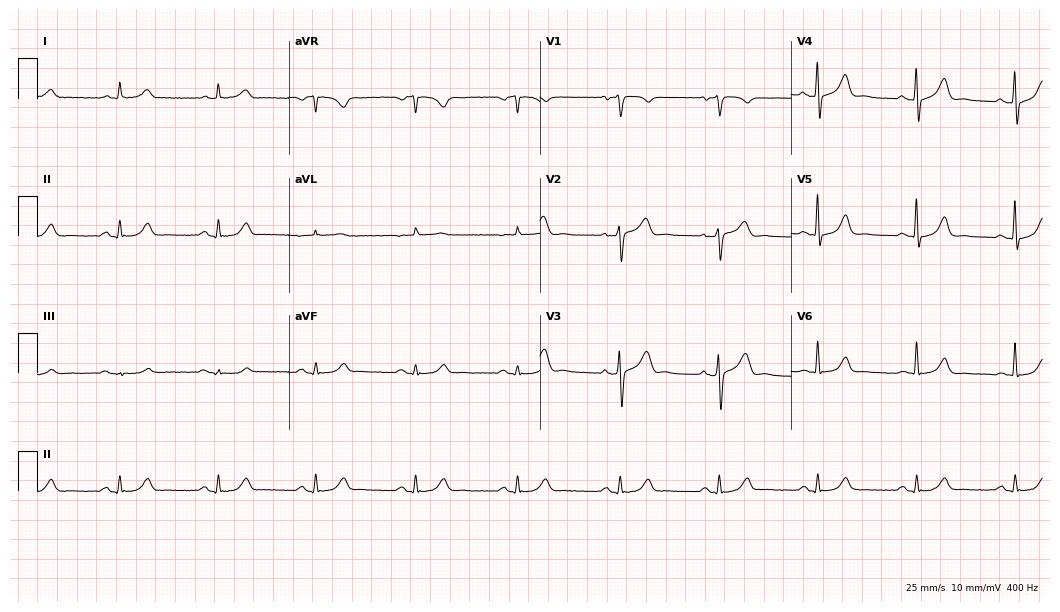
12-lead ECG from a 69-year-old male. Labelled as a normal ECG.